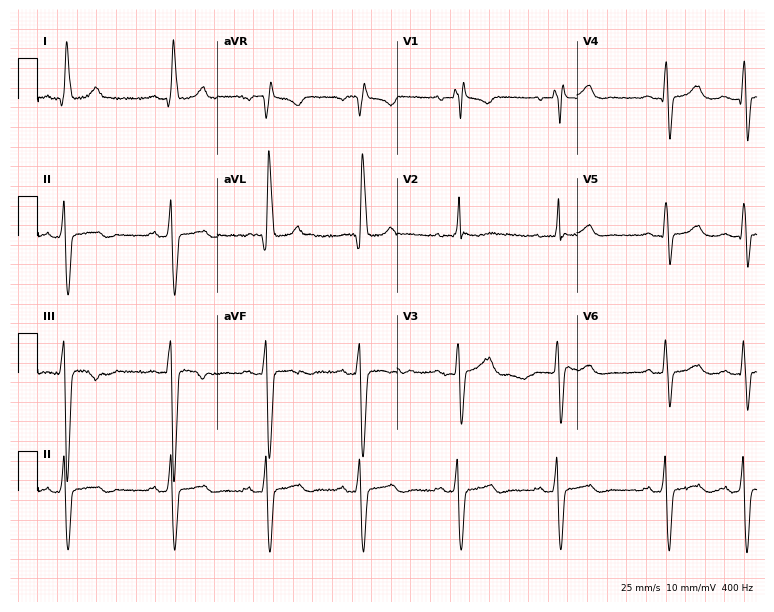
12-lead ECG from a woman, 82 years old (7.3-second recording at 400 Hz). No first-degree AV block, right bundle branch block, left bundle branch block, sinus bradycardia, atrial fibrillation or sinus tachycardia recorded for this tracing. Only these six findings were labelled.